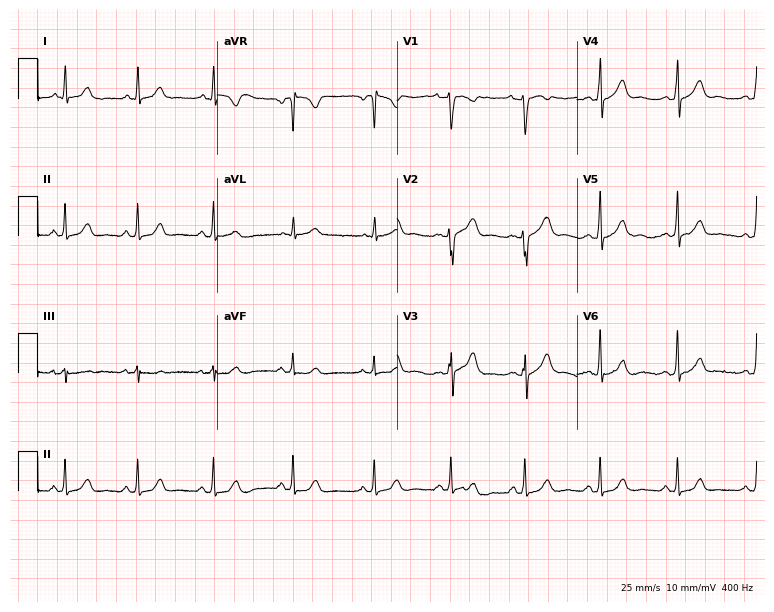
Standard 12-lead ECG recorded from a woman, 19 years old. Read as a normal ECG.